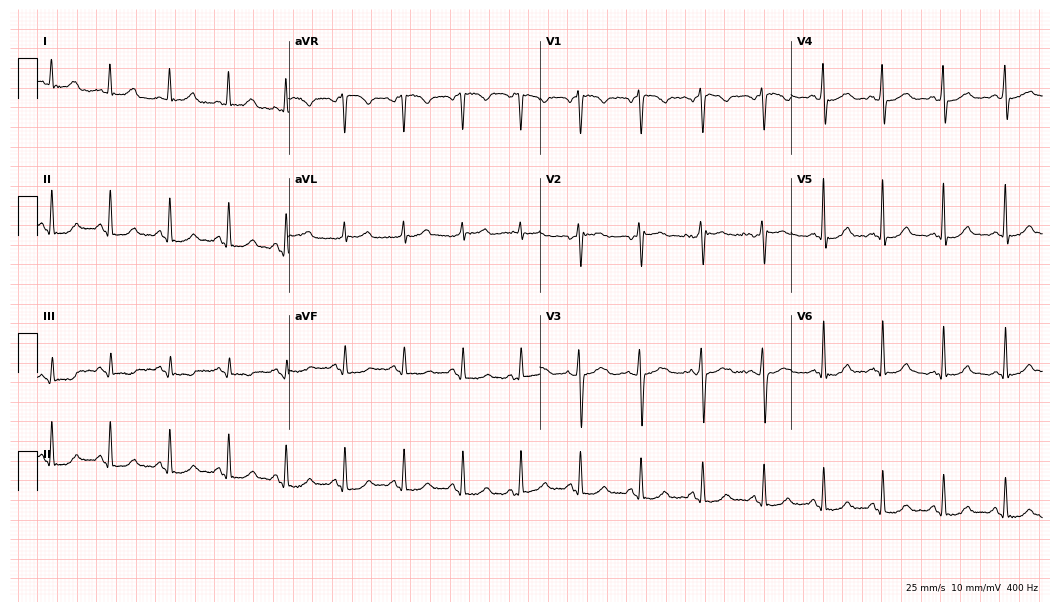
Resting 12-lead electrocardiogram (10.2-second recording at 400 Hz). Patient: a 37-year-old woman. Read as a normal ECG.